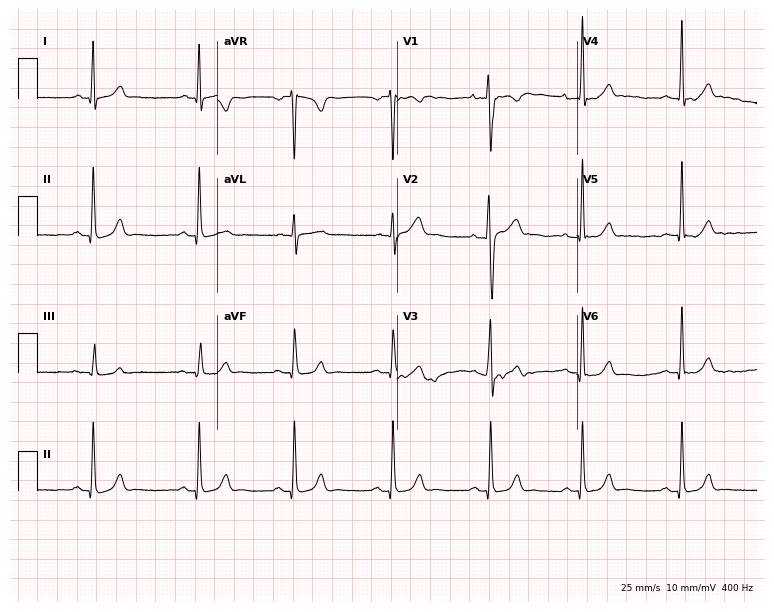
ECG — a 24-year-old male patient. Labelled as a normal ECG.